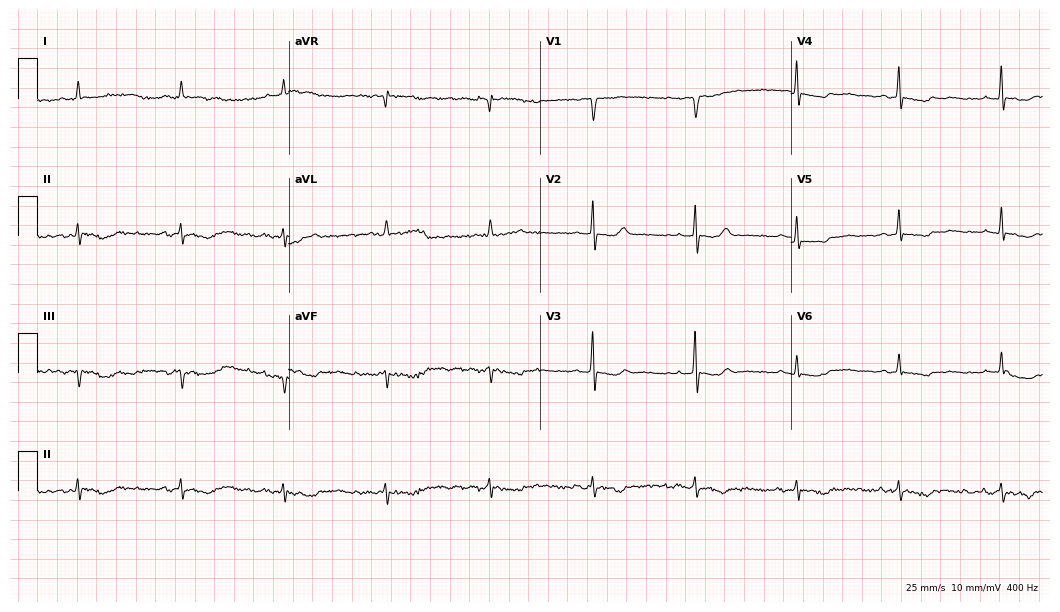
12-lead ECG from a woman, 70 years old. No first-degree AV block, right bundle branch block (RBBB), left bundle branch block (LBBB), sinus bradycardia, atrial fibrillation (AF) or sinus tachycardia recorded for this tracing.